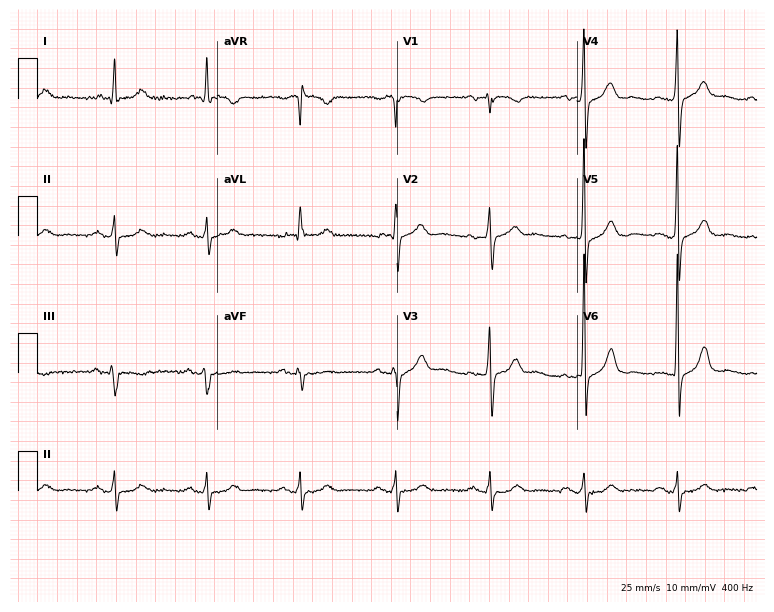
Standard 12-lead ECG recorded from a male patient, 80 years old. None of these six findings is recorded: first-degree AV block, right bundle branch block, left bundle branch block, sinus bradycardia, atrial fibrillation, sinus tachycardia.